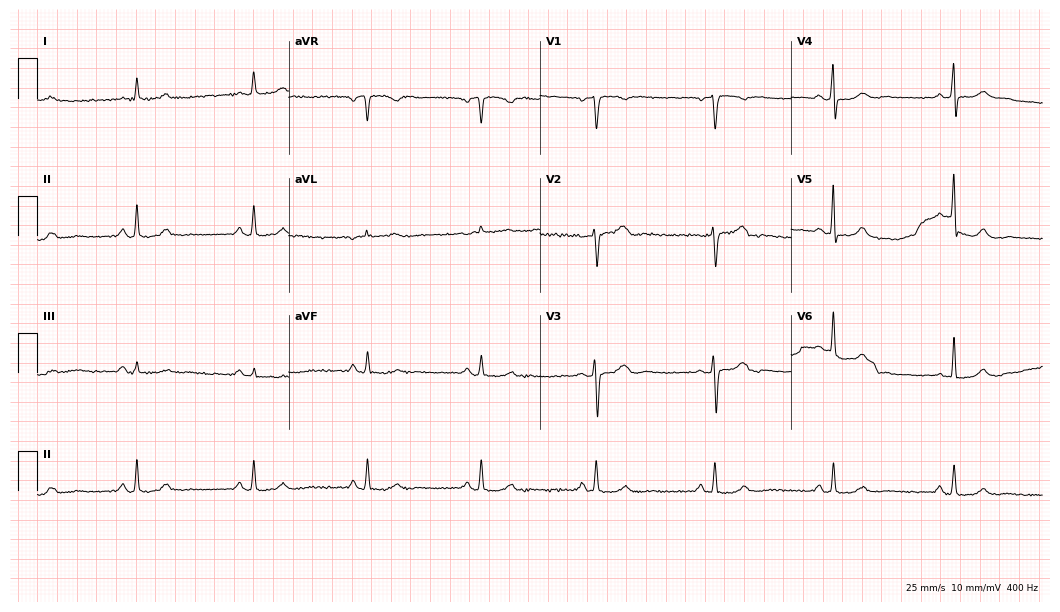
12-lead ECG from a 47-year-old woman (10.2-second recording at 400 Hz). No first-degree AV block, right bundle branch block, left bundle branch block, sinus bradycardia, atrial fibrillation or sinus tachycardia recorded for this tracing.